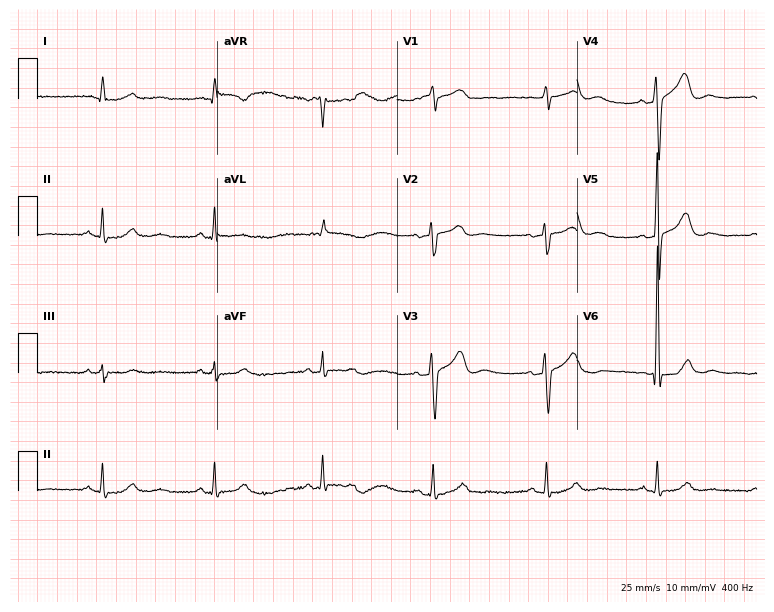
Standard 12-lead ECG recorded from a man, 77 years old (7.3-second recording at 400 Hz). Read as a normal ECG.